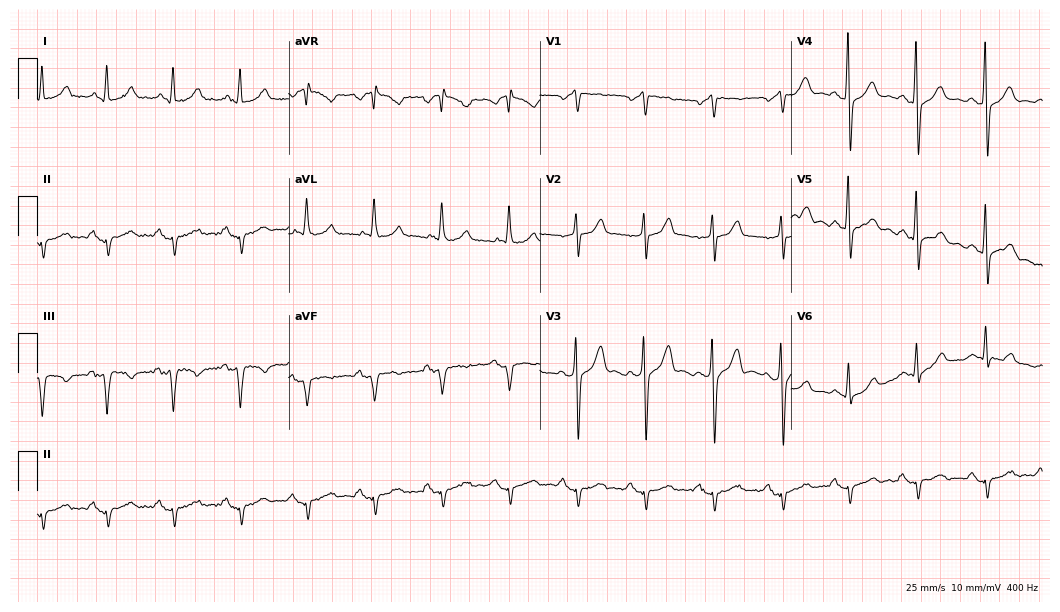
Standard 12-lead ECG recorded from a 55-year-old man (10.2-second recording at 400 Hz). None of these six findings is recorded: first-degree AV block, right bundle branch block (RBBB), left bundle branch block (LBBB), sinus bradycardia, atrial fibrillation (AF), sinus tachycardia.